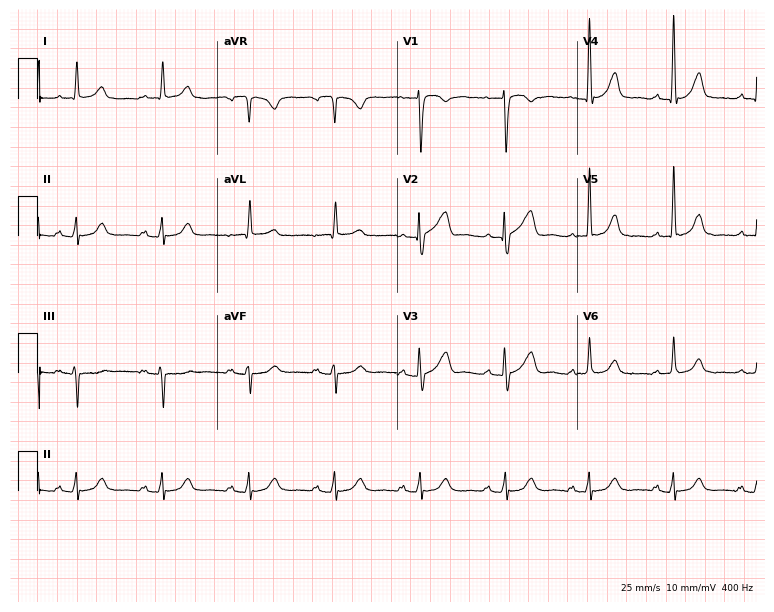
ECG — a 76-year-old male patient. Labelled as a normal ECG.